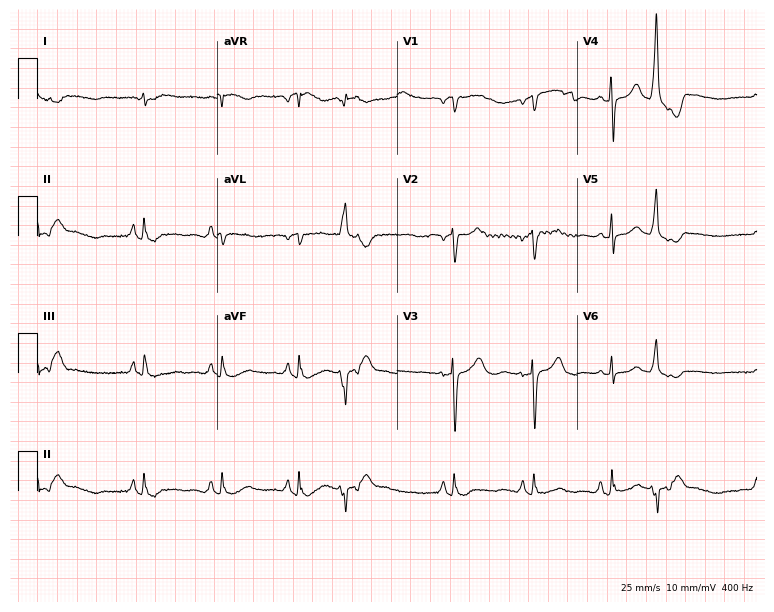
12-lead ECG from an 85-year-old male patient. Screened for six findings — first-degree AV block, right bundle branch block (RBBB), left bundle branch block (LBBB), sinus bradycardia, atrial fibrillation (AF), sinus tachycardia — none is recorded. Findings outside these six are not listed.